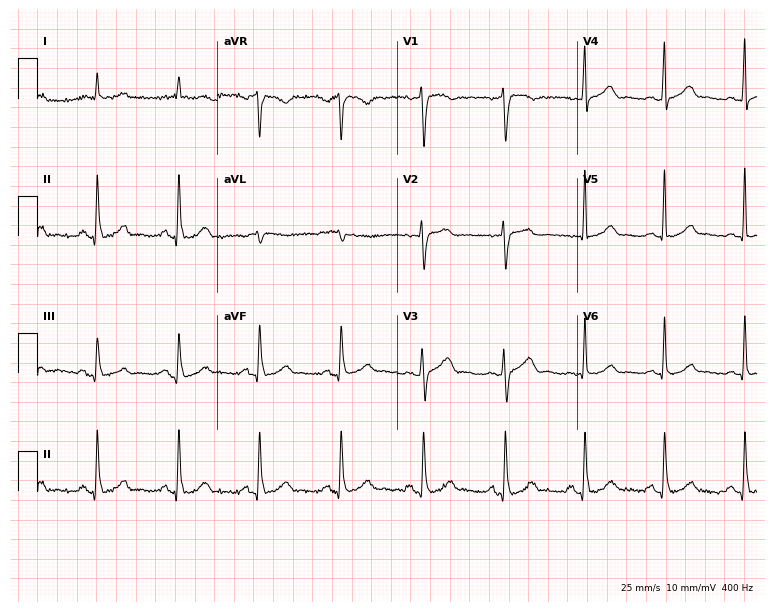
Resting 12-lead electrocardiogram. Patient: a 62-year-old man. Read as a normal ECG.